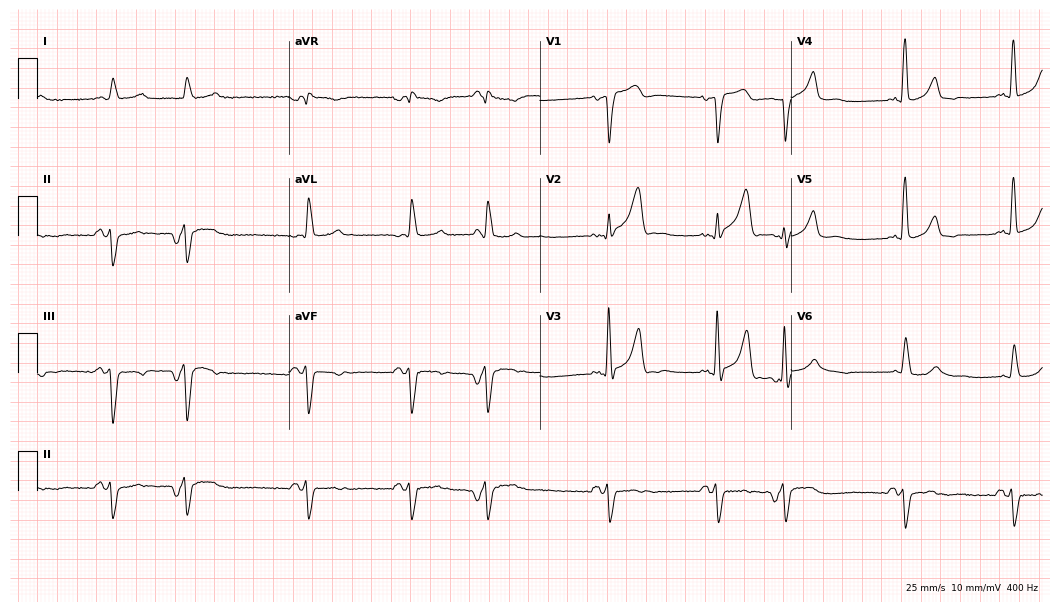
ECG (10.2-second recording at 400 Hz) — a man, 75 years old. Findings include left bundle branch block.